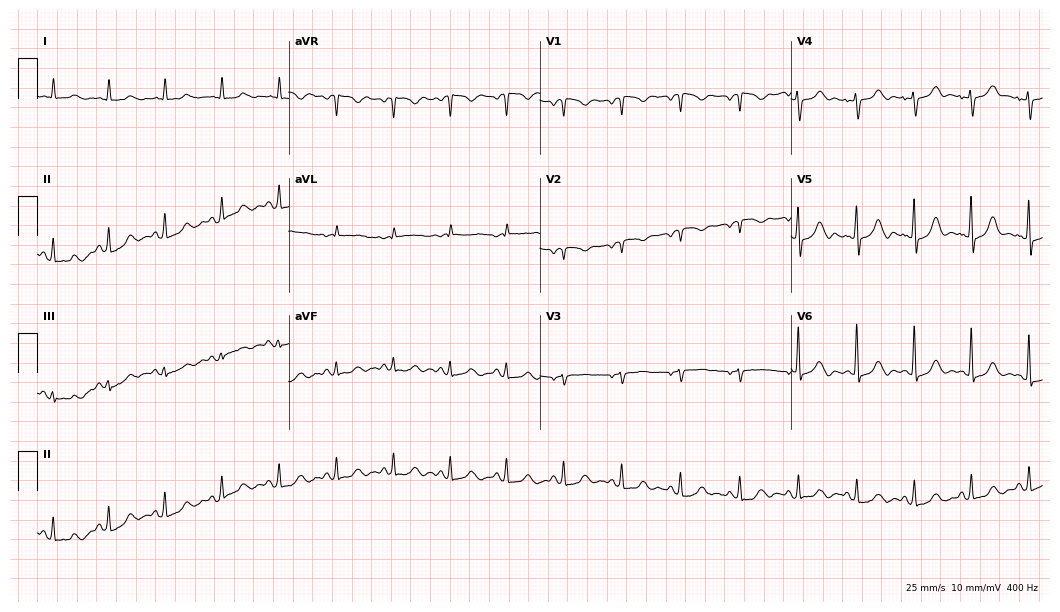
12-lead ECG from a 65-year-old female patient (10.2-second recording at 400 Hz). No first-degree AV block, right bundle branch block, left bundle branch block, sinus bradycardia, atrial fibrillation or sinus tachycardia recorded for this tracing.